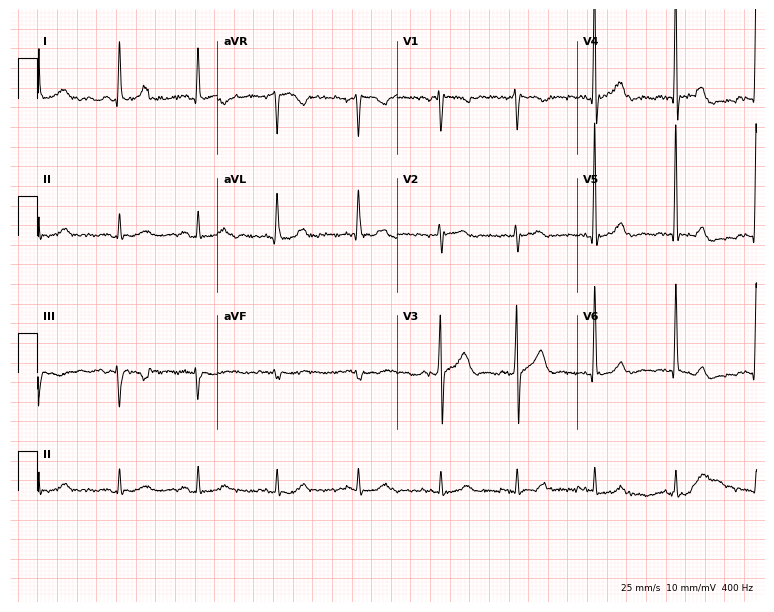
Standard 12-lead ECG recorded from a male patient, 66 years old. None of these six findings is recorded: first-degree AV block, right bundle branch block, left bundle branch block, sinus bradycardia, atrial fibrillation, sinus tachycardia.